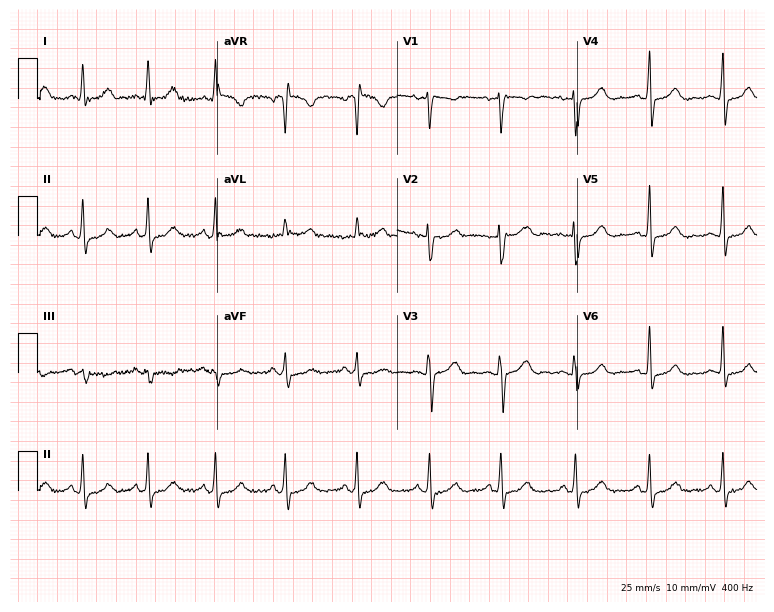
Electrocardiogram (7.3-second recording at 400 Hz), a 47-year-old female. Overall reading on record: normal ECG.